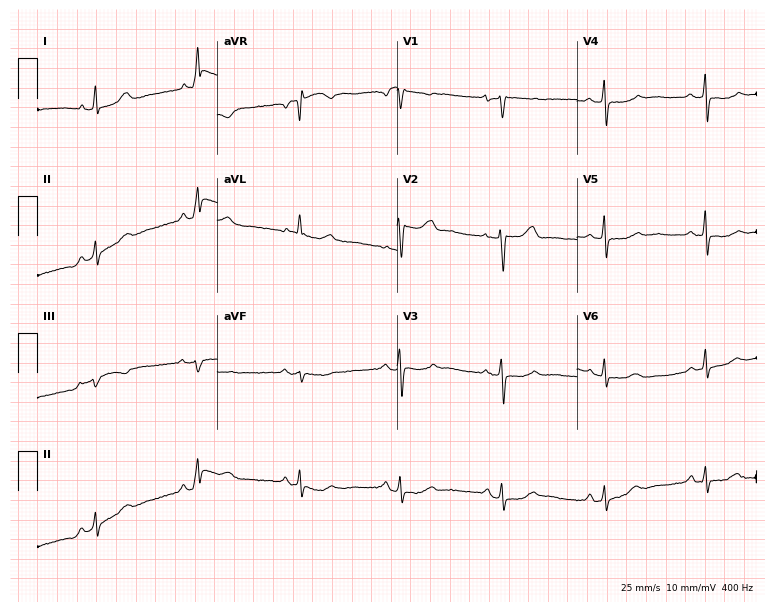
Electrocardiogram (7.3-second recording at 400 Hz), a female, 58 years old. Of the six screened findings (first-degree AV block, right bundle branch block, left bundle branch block, sinus bradycardia, atrial fibrillation, sinus tachycardia), none is recorded.